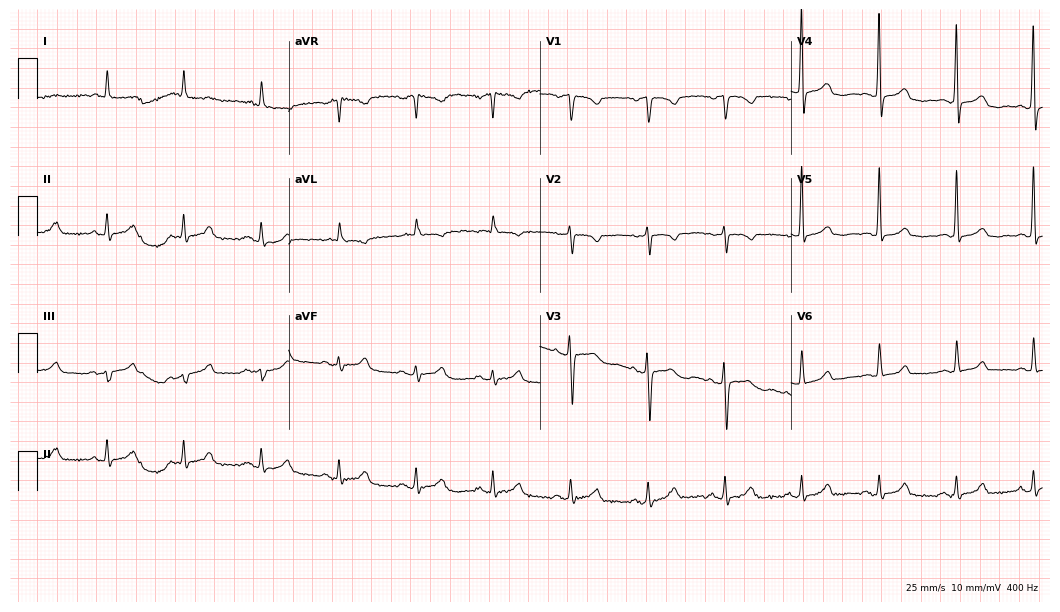
Resting 12-lead electrocardiogram. Patient: a 78-year-old female. None of these six findings is recorded: first-degree AV block, right bundle branch block (RBBB), left bundle branch block (LBBB), sinus bradycardia, atrial fibrillation (AF), sinus tachycardia.